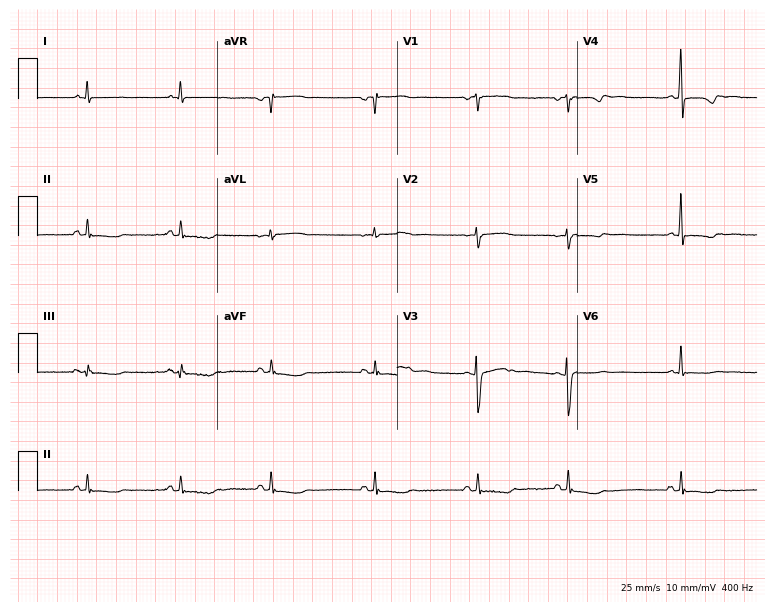
12-lead ECG (7.3-second recording at 400 Hz) from a 52-year-old woman. Screened for six findings — first-degree AV block, right bundle branch block, left bundle branch block, sinus bradycardia, atrial fibrillation, sinus tachycardia — none is recorded. Findings outside these six are not listed.